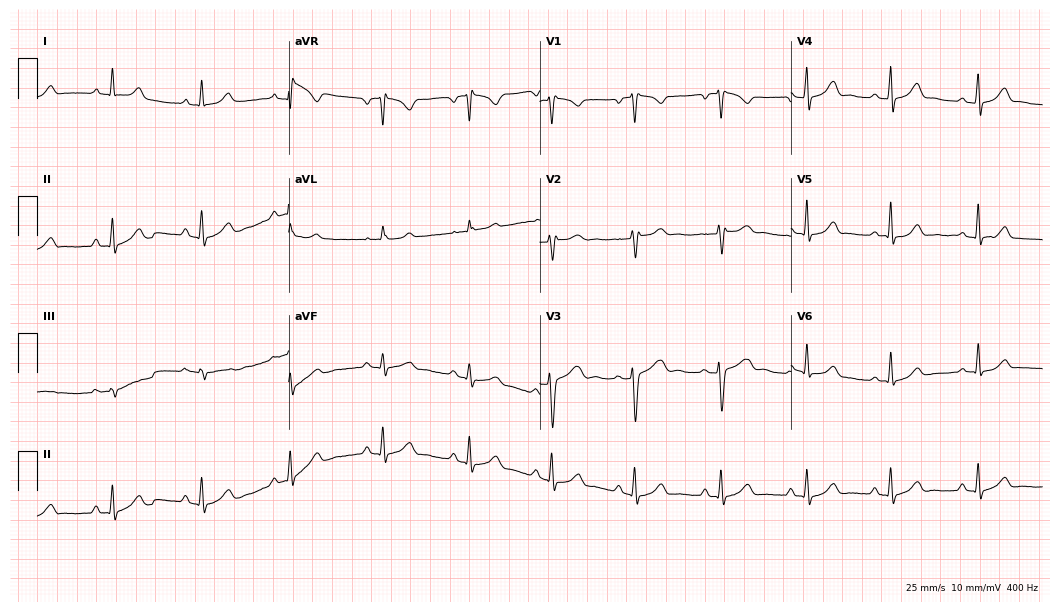
ECG — a 22-year-old woman. Labelled as a normal ECG.